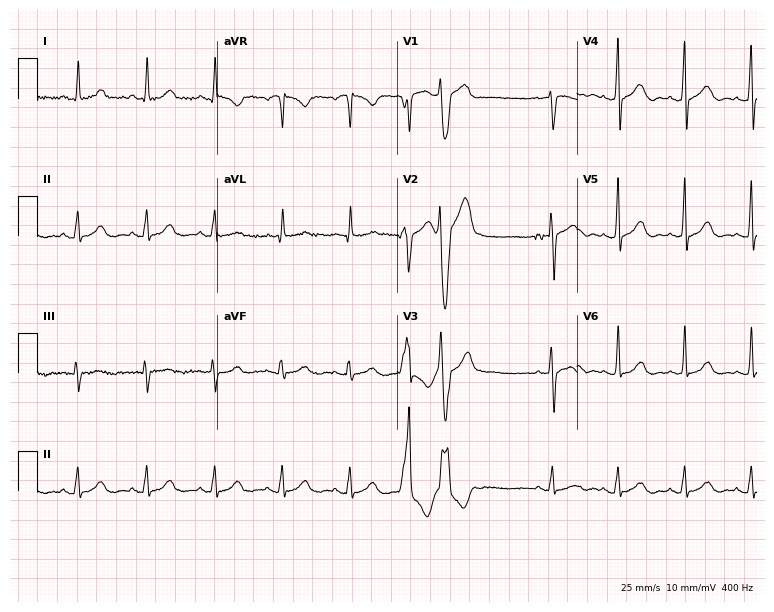
ECG (7.3-second recording at 400 Hz) — a woman, 45 years old. Screened for six findings — first-degree AV block, right bundle branch block, left bundle branch block, sinus bradycardia, atrial fibrillation, sinus tachycardia — none is recorded. Only these six findings were labelled.